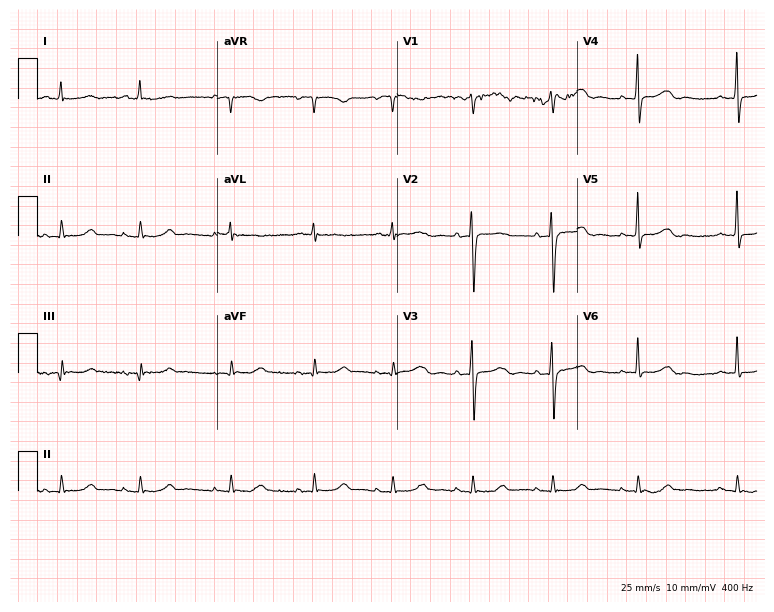
12-lead ECG from a female, 79 years old (7.3-second recording at 400 Hz). No first-degree AV block, right bundle branch block, left bundle branch block, sinus bradycardia, atrial fibrillation or sinus tachycardia recorded for this tracing.